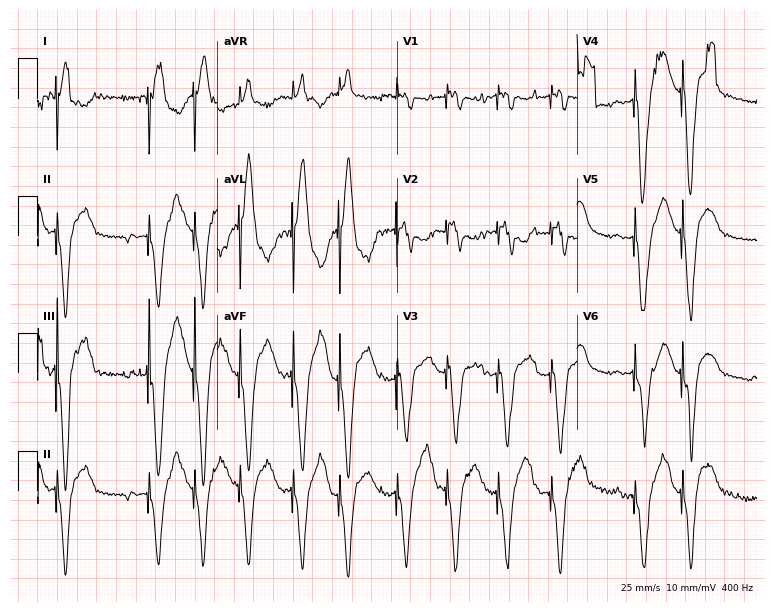
12-lead ECG from a 73-year-old female patient. No first-degree AV block, right bundle branch block (RBBB), left bundle branch block (LBBB), sinus bradycardia, atrial fibrillation (AF) or sinus tachycardia recorded for this tracing. Findings outside these six are not listed.